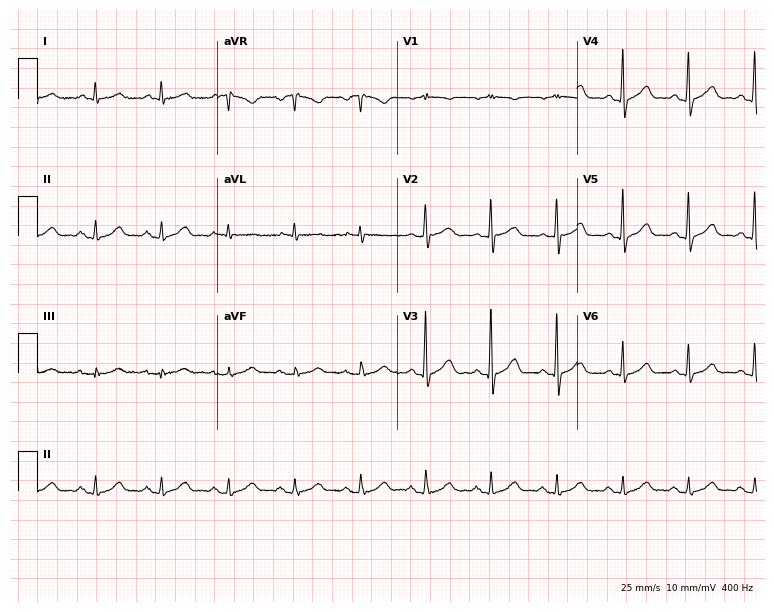
Electrocardiogram, a female patient, 72 years old. Overall reading on record: normal ECG.